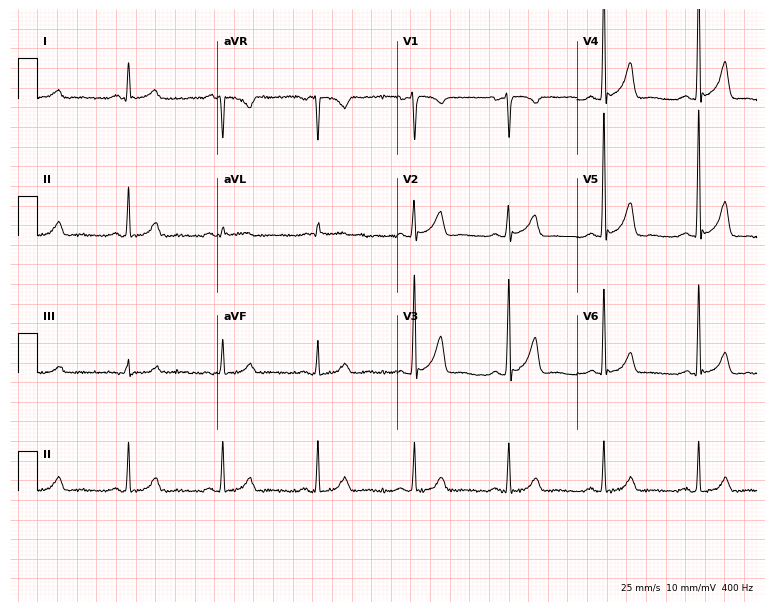
12-lead ECG from a man, 63 years old. Labelled as a normal ECG.